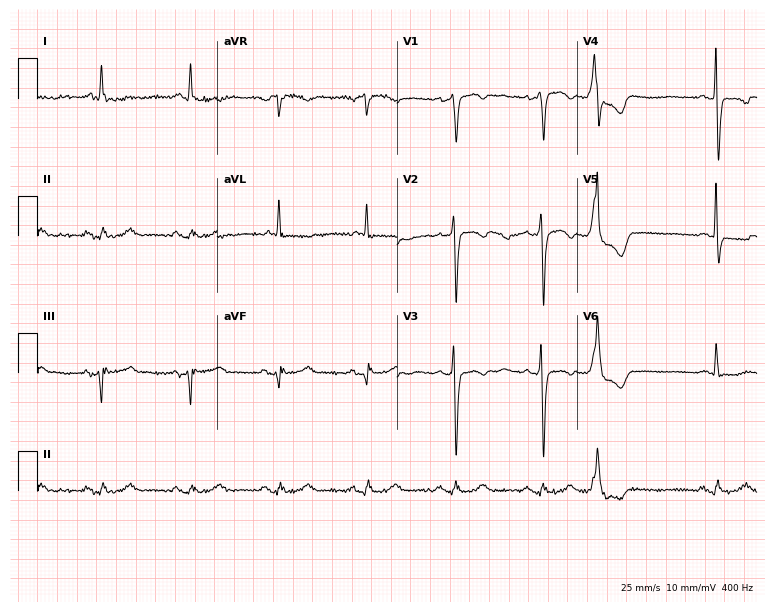
Electrocardiogram, a 79-year-old male patient. Of the six screened findings (first-degree AV block, right bundle branch block, left bundle branch block, sinus bradycardia, atrial fibrillation, sinus tachycardia), none is recorded. Only these six findings were labelled.